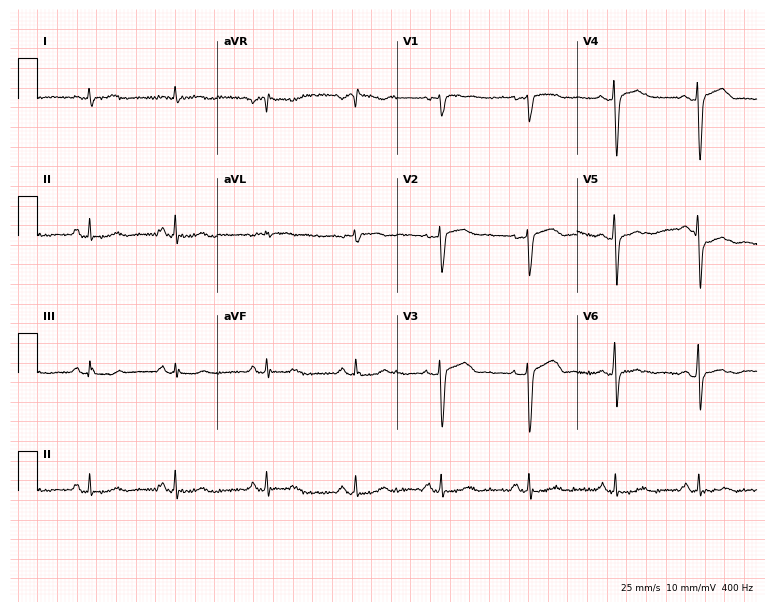
Electrocardiogram, a 53-year-old woman. Overall reading on record: normal ECG.